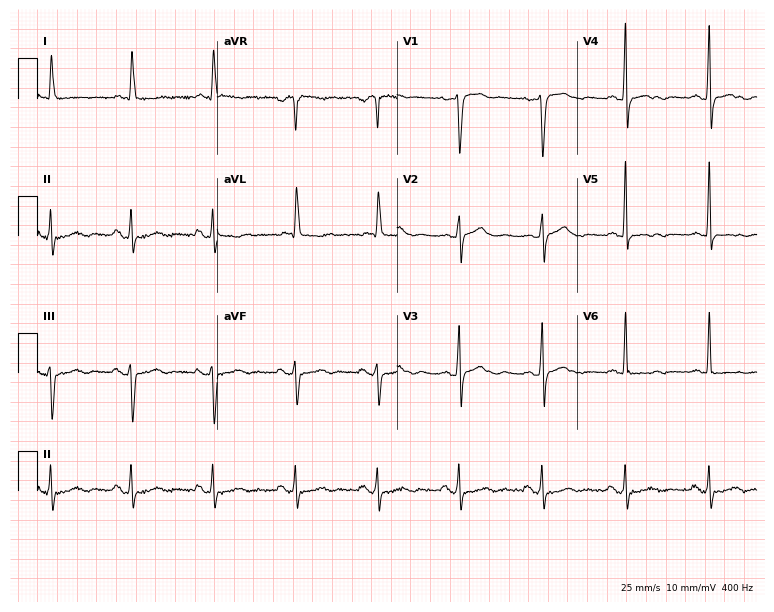
ECG (7.3-second recording at 400 Hz) — a 58-year-old female patient. Screened for six findings — first-degree AV block, right bundle branch block, left bundle branch block, sinus bradycardia, atrial fibrillation, sinus tachycardia — none is recorded. Other findings, if any, are not listed.